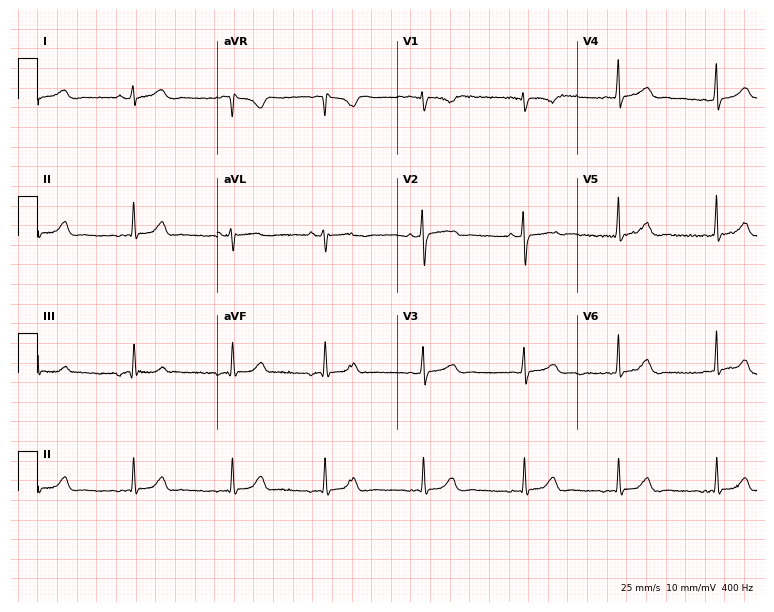
12-lead ECG from a 29-year-old woman. No first-degree AV block, right bundle branch block, left bundle branch block, sinus bradycardia, atrial fibrillation or sinus tachycardia recorded for this tracing. Only these six findings were labelled.